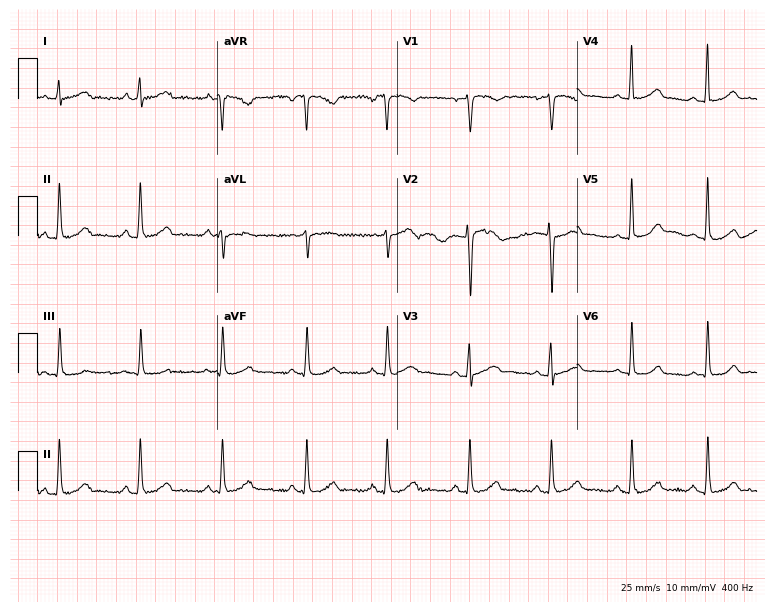
Resting 12-lead electrocardiogram. Patient: a 39-year-old female. Read as a normal ECG.